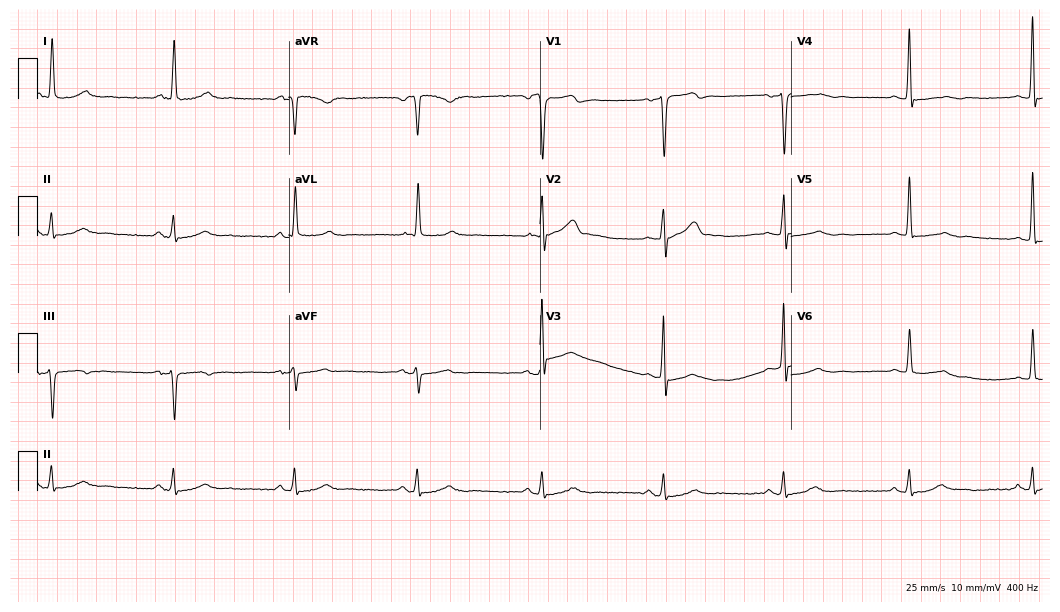
Electrocardiogram, a man, 65 years old. Interpretation includes sinus bradycardia (a sinus rate of 50 beats per minute or less).